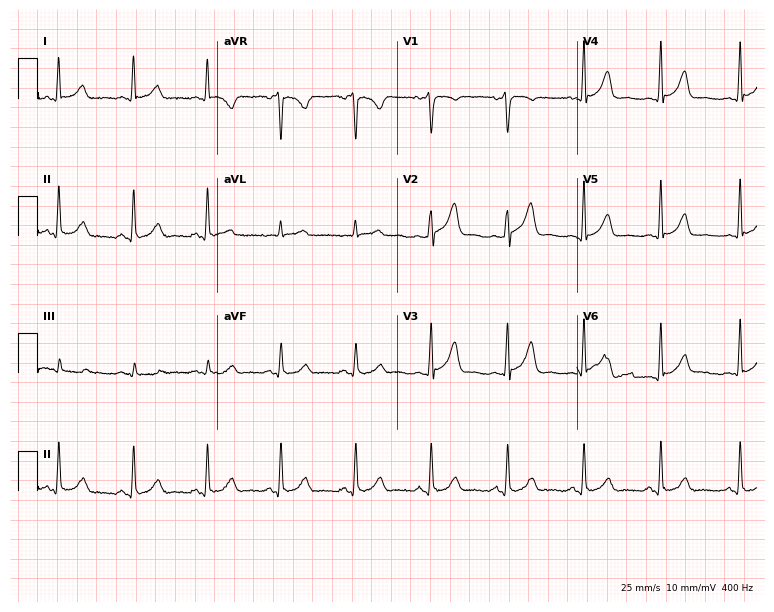
Standard 12-lead ECG recorded from a female, 33 years old (7.3-second recording at 400 Hz). None of these six findings is recorded: first-degree AV block, right bundle branch block, left bundle branch block, sinus bradycardia, atrial fibrillation, sinus tachycardia. Findings outside these six are not listed.